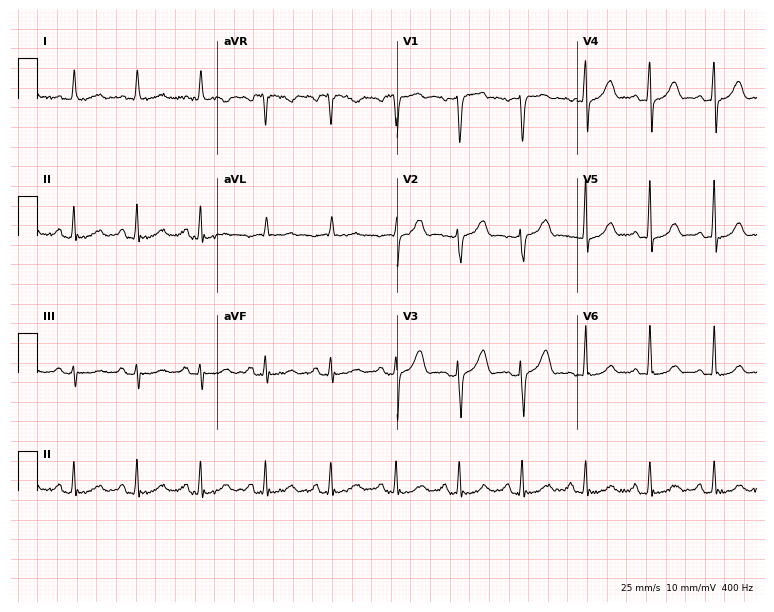
12-lead ECG from a female, 48 years old. Labelled as a normal ECG.